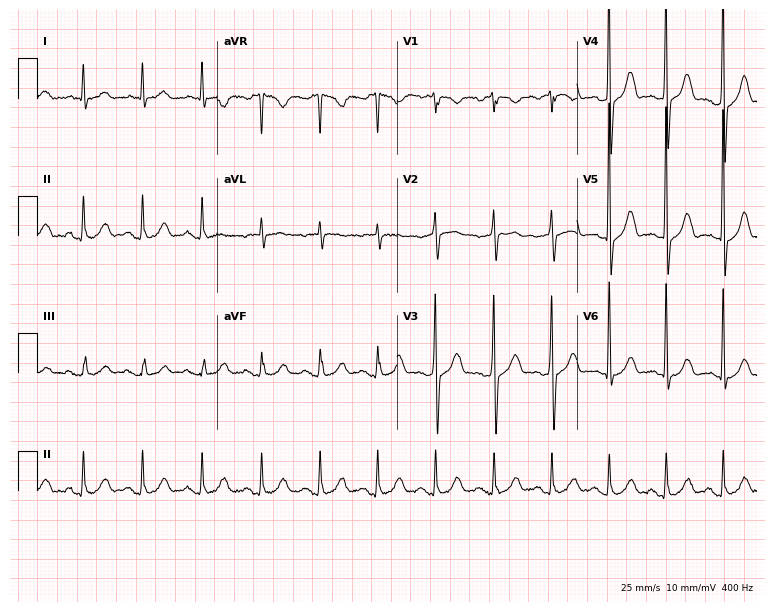
12-lead ECG from a male patient, 84 years old (7.3-second recording at 400 Hz). Recorded interpretation: within normal limits.